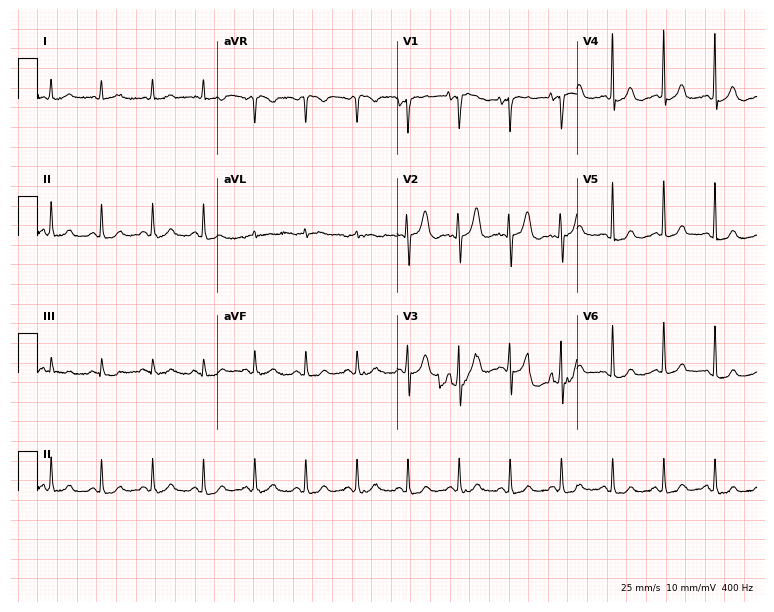
Resting 12-lead electrocardiogram (7.3-second recording at 400 Hz). Patient: an 85-year-old woman. The tracing shows sinus tachycardia (a sinus rate of 100 beats per minute or more).